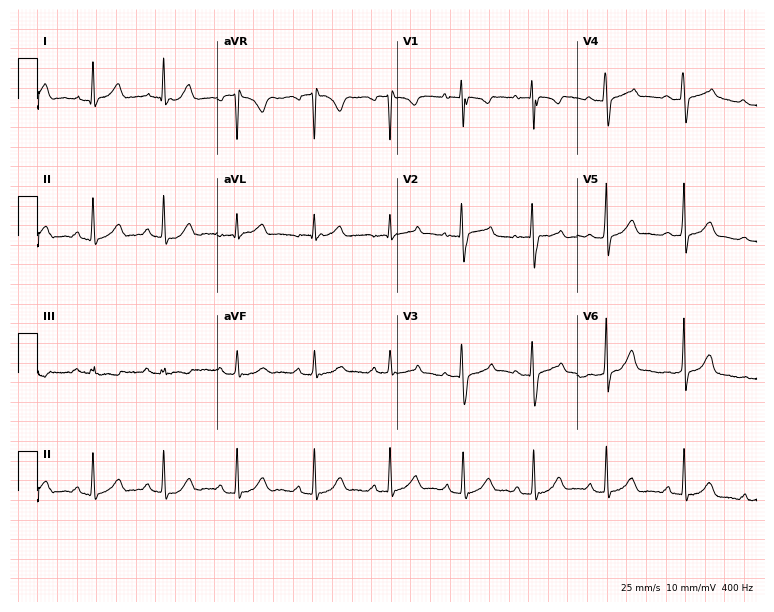
12-lead ECG from a woman, 26 years old (7.3-second recording at 400 Hz). Recorded interpretation: within normal limits.